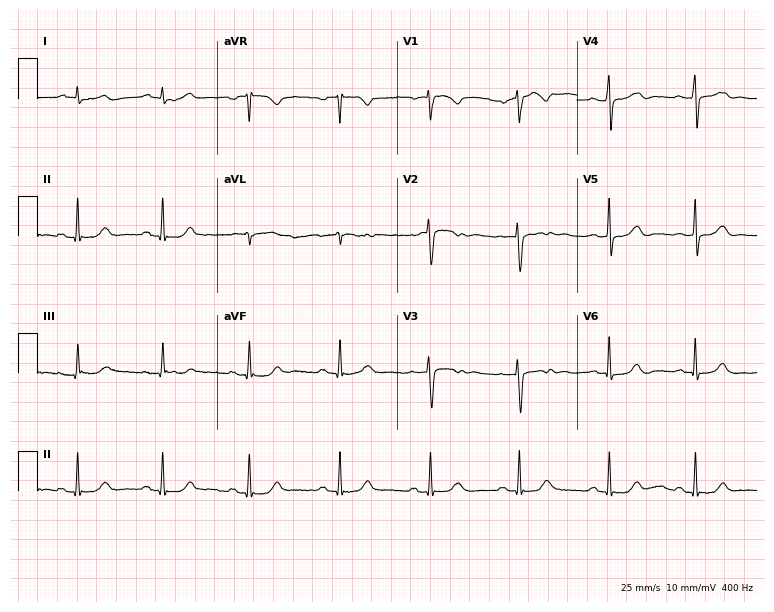
12-lead ECG from a female, 46 years old. Recorded interpretation: within normal limits.